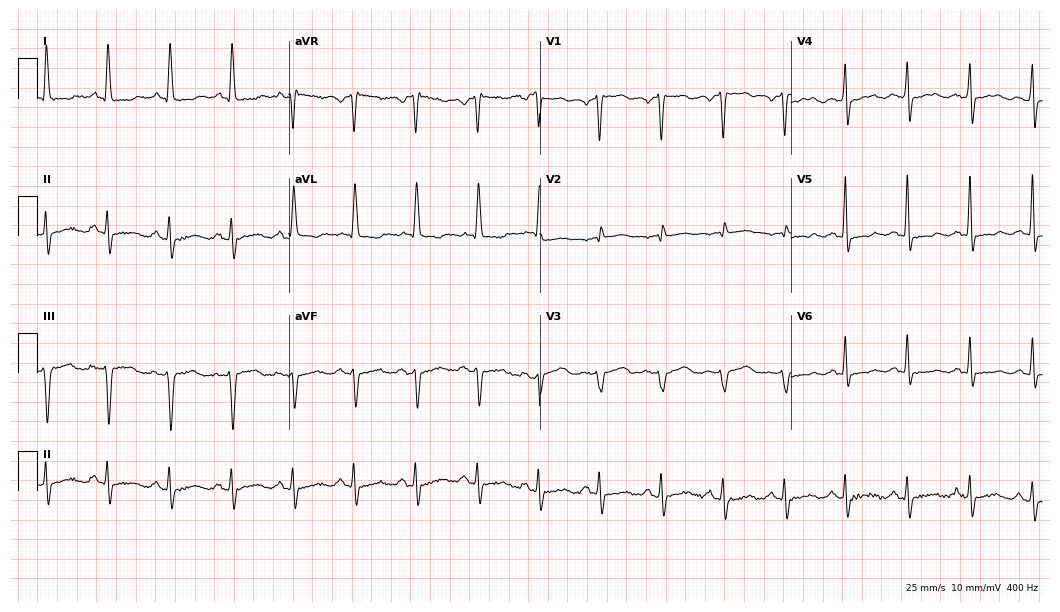
Standard 12-lead ECG recorded from a female patient, 82 years old. None of these six findings is recorded: first-degree AV block, right bundle branch block, left bundle branch block, sinus bradycardia, atrial fibrillation, sinus tachycardia. Only these six findings were labelled.